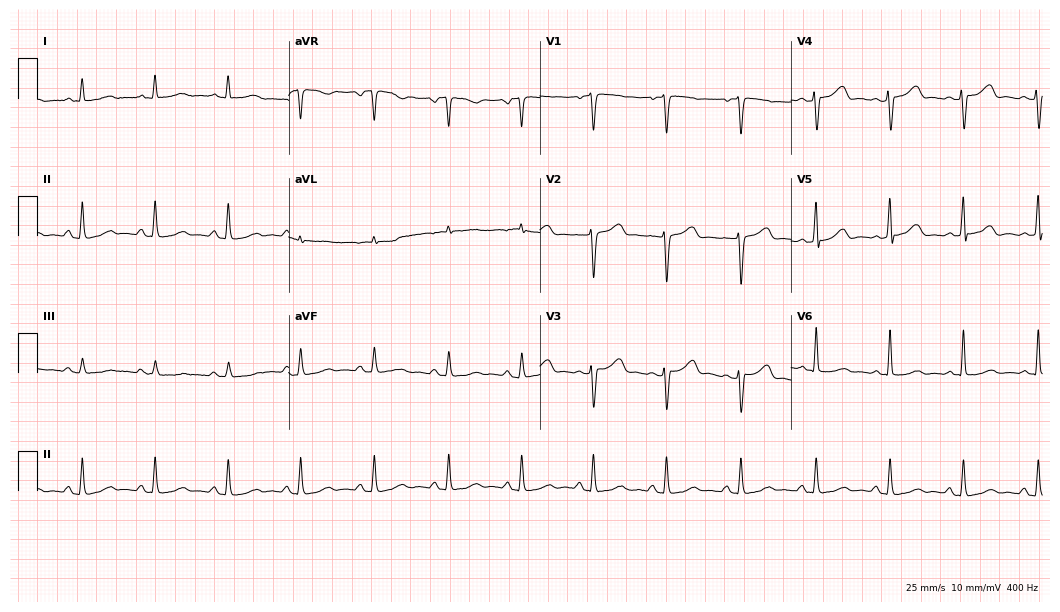
Standard 12-lead ECG recorded from a 54-year-old woman (10.2-second recording at 400 Hz). None of these six findings is recorded: first-degree AV block, right bundle branch block (RBBB), left bundle branch block (LBBB), sinus bradycardia, atrial fibrillation (AF), sinus tachycardia.